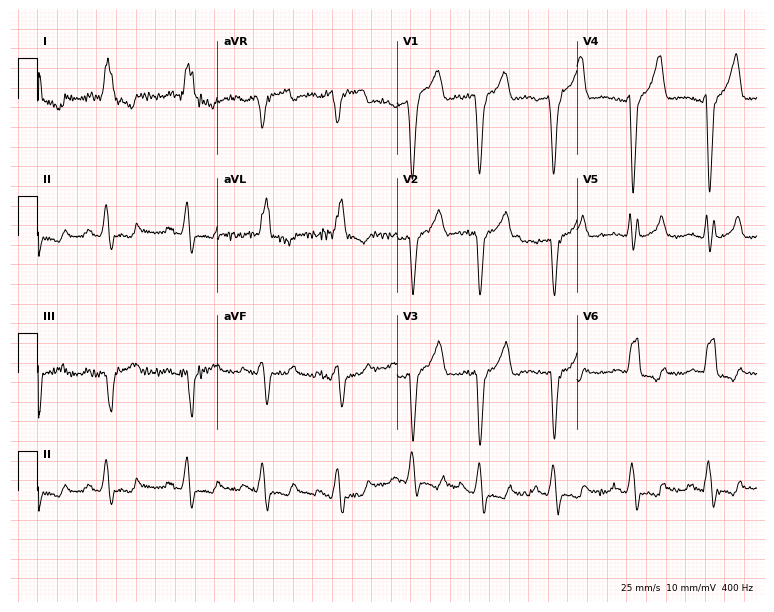
12-lead ECG from an 81-year-old man. Screened for six findings — first-degree AV block, right bundle branch block, left bundle branch block, sinus bradycardia, atrial fibrillation, sinus tachycardia — none is recorded.